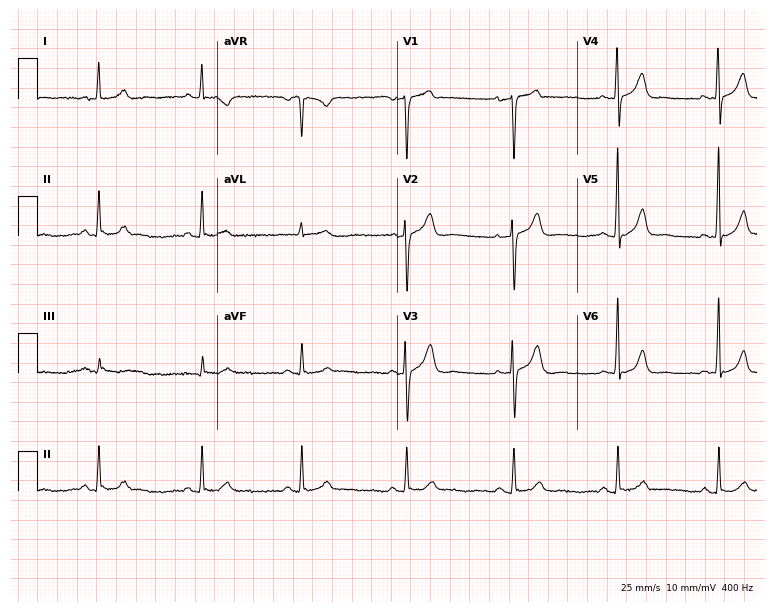
12-lead ECG (7.3-second recording at 400 Hz) from a 47-year-old male. Screened for six findings — first-degree AV block, right bundle branch block (RBBB), left bundle branch block (LBBB), sinus bradycardia, atrial fibrillation (AF), sinus tachycardia — none is recorded.